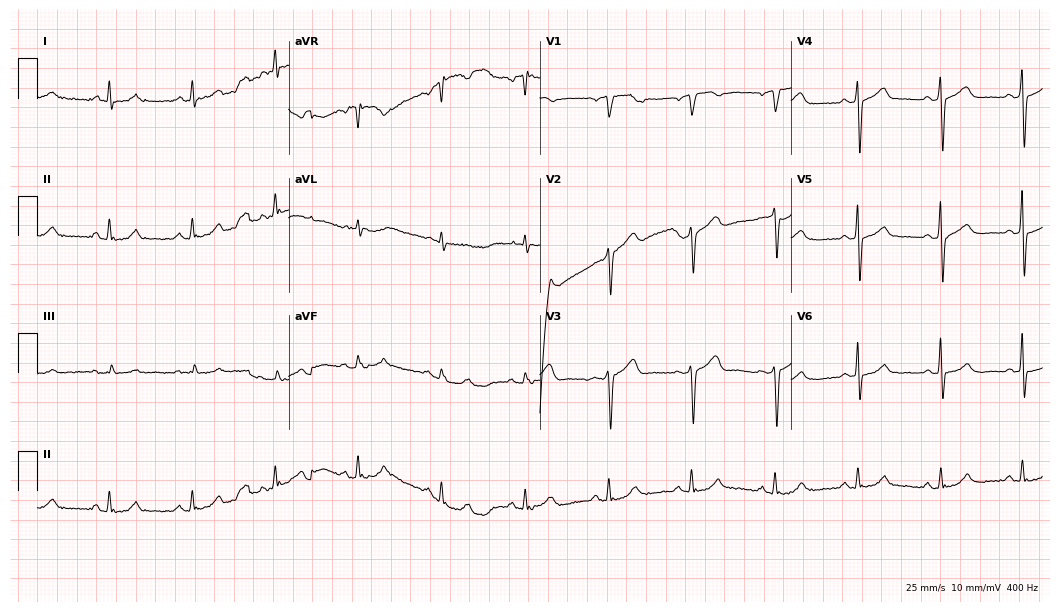
ECG — a 71-year-old male. Screened for six findings — first-degree AV block, right bundle branch block (RBBB), left bundle branch block (LBBB), sinus bradycardia, atrial fibrillation (AF), sinus tachycardia — none is recorded. Findings outside these six are not listed.